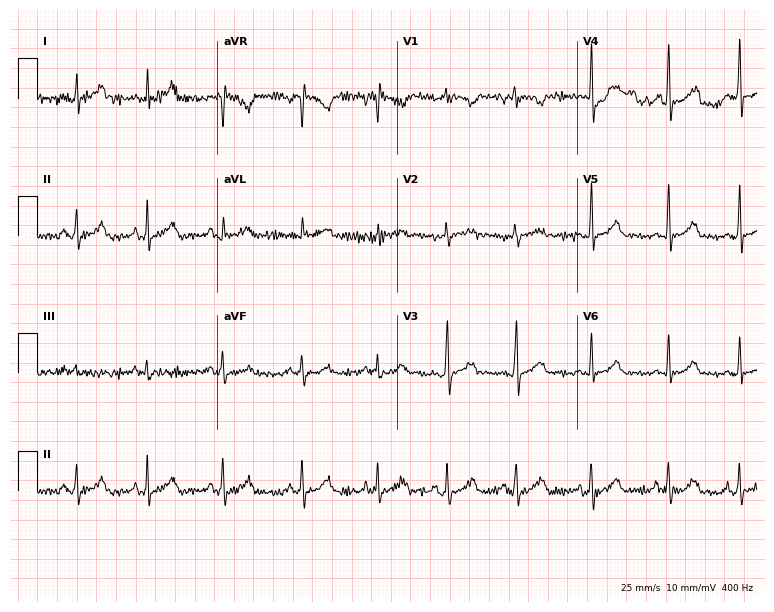
Resting 12-lead electrocardiogram. Patient: a female, 28 years old. None of these six findings is recorded: first-degree AV block, right bundle branch block (RBBB), left bundle branch block (LBBB), sinus bradycardia, atrial fibrillation (AF), sinus tachycardia. Other findings, if any, are not listed.